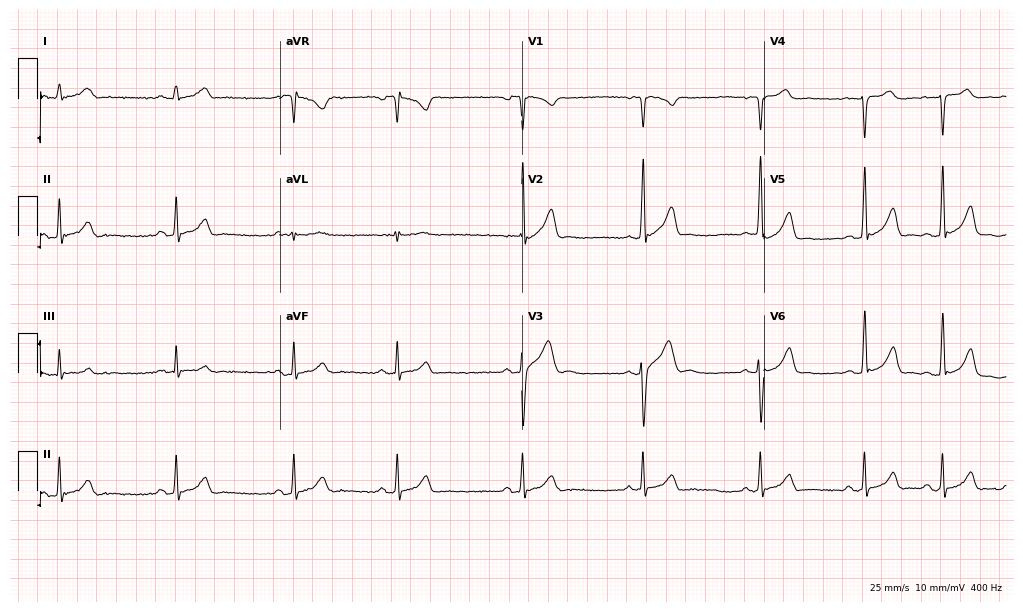
Standard 12-lead ECG recorded from a 19-year-old male. Read as a normal ECG.